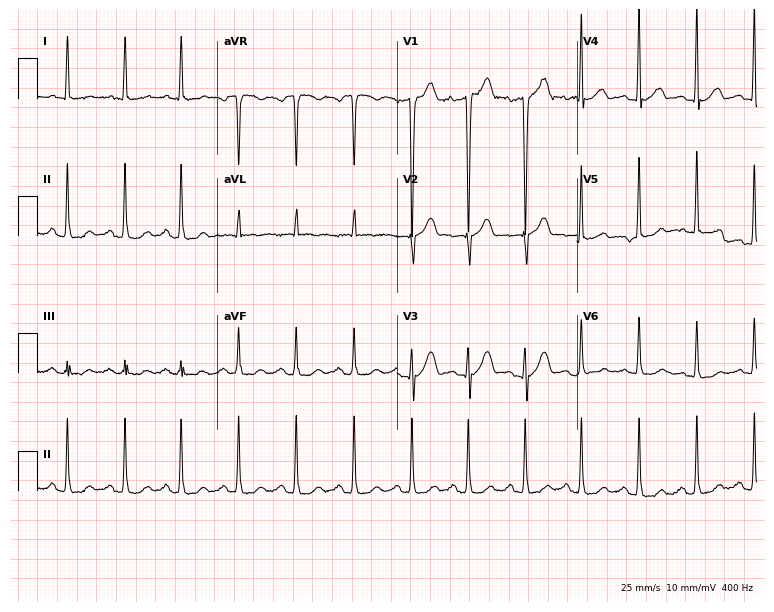
Resting 12-lead electrocardiogram. Patient: a male, 57 years old. The tracing shows sinus tachycardia (a sinus rate of 100 beats per minute or more).